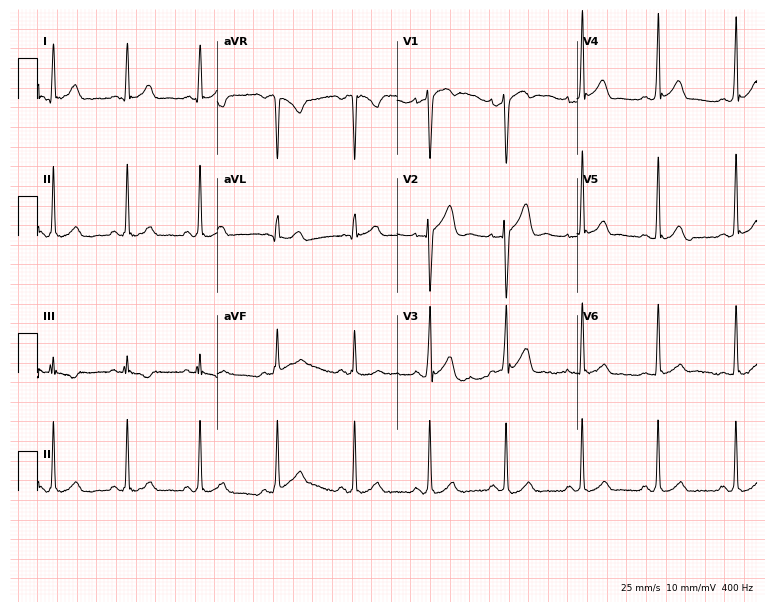
12-lead ECG from a 29-year-old man (7.3-second recording at 400 Hz). Recorded interpretation: within normal limits.